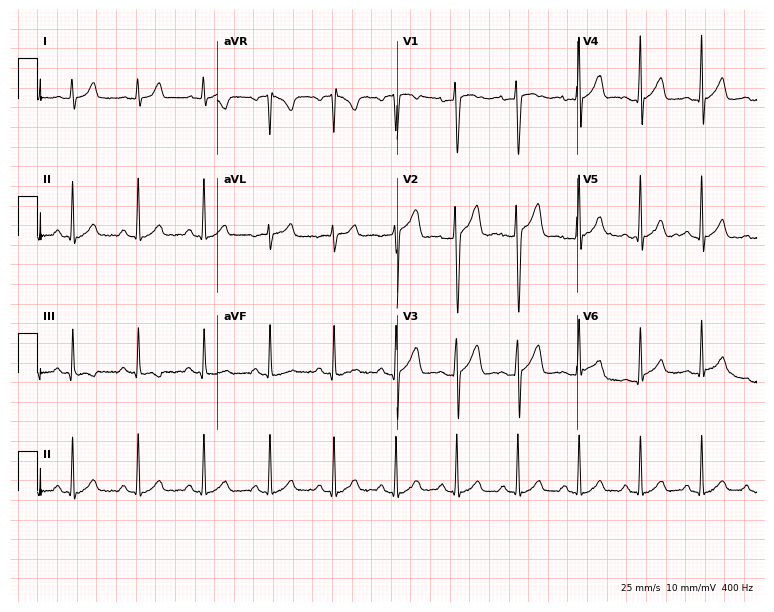
ECG — a male patient, 32 years old. Screened for six findings — first-degree AV block, right bundle branch block (RBBB), left bundle branch block (LBBB), sinus bradycardia, atrial fibrillation (AF), sinus tachycardia — none is recorded.